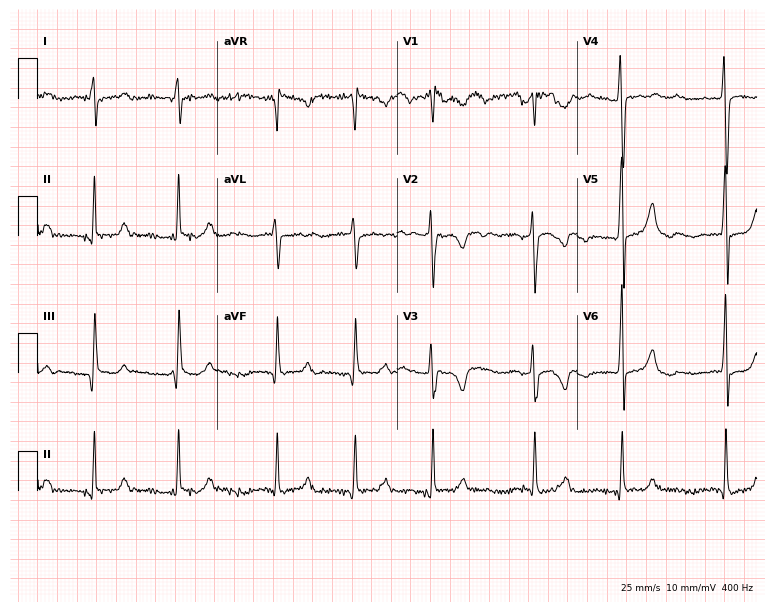
12-lead ECG (7.3-second recording at 400 Hz) from a female, 31 years old. Findings include atrial fibrillation.